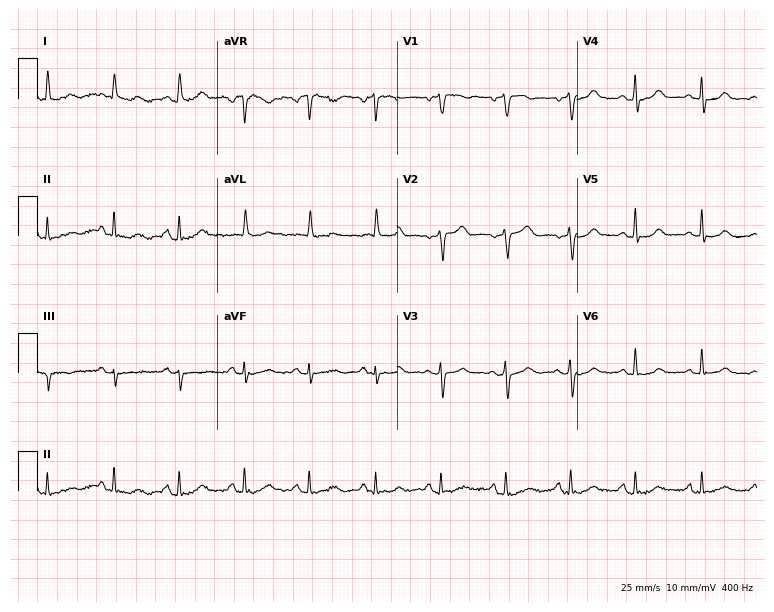
12-lead ECG from a 74-year-old female. Labelled as a normal ECG.